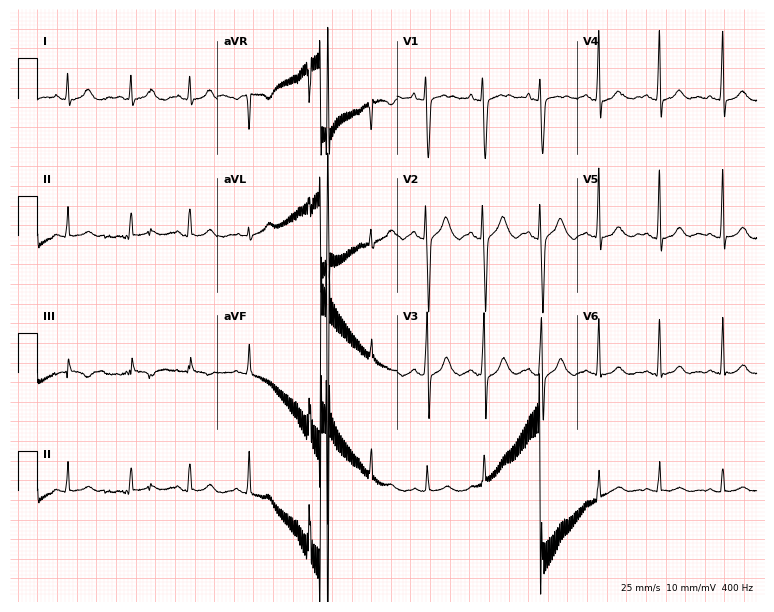
12-lead ECG from a female patient, 22 years old (7.3-second recording at 400 Hz). Recorded interpretation: within normal limits.